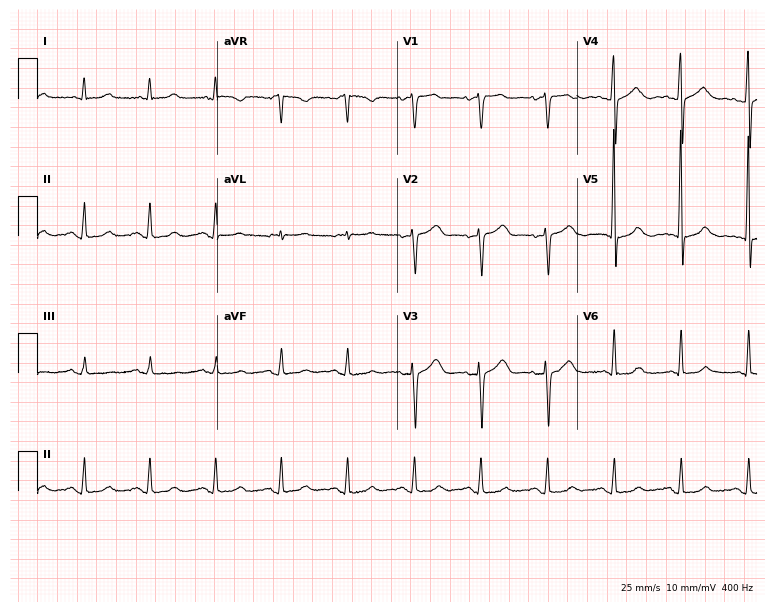
ECG — a male patient, 79 years old. Screened for six findings — first-degree AV block, right bundle branch block (RBBB), left bundle branch block (LBBB), sinus bradycardia, atrial fibrillation (AF), sinus tachycardia — none is recorded. Findings outside these six are not listed.